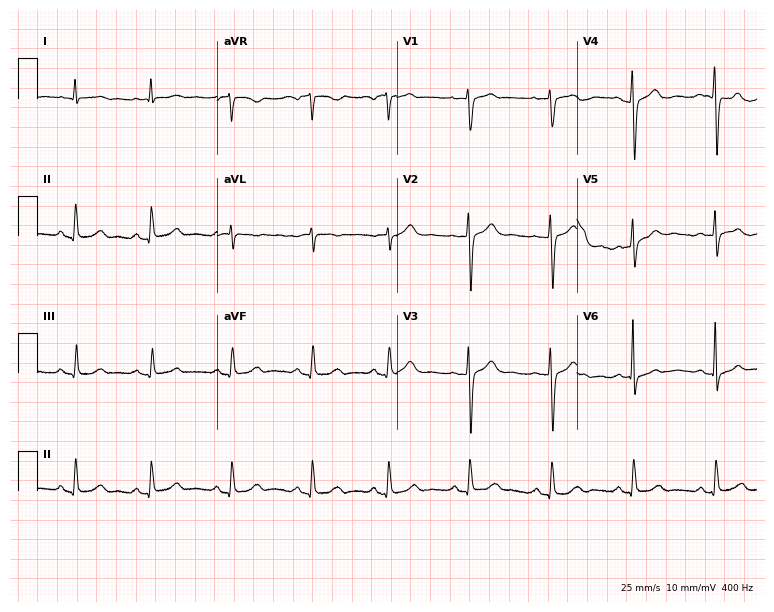
Resting 12-lead electrocardiogram (7.3-second recording at 400 Hz). Patient: a female, 57 years old. None of these six findings is recorded: first-degree AV block, right bundle branch block (RBBB), left bundle branch block (LBBB), sinus bradycardia, atrial fibrillation (AF), sinus tachycardia.